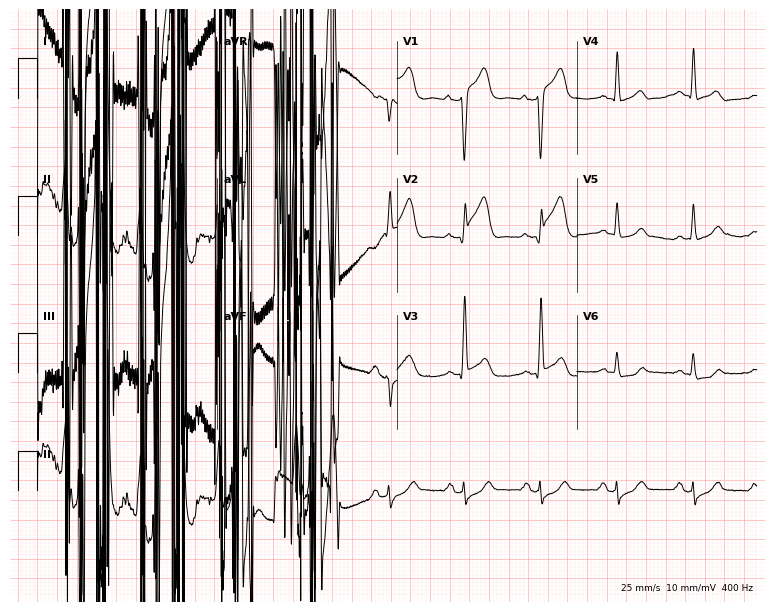
ECG — a 66-year-old male patient. Screened for six findings — first-degree AV block, right bundle branch block, left bundle branch block, sinus bradycardia, atrial fibrillation, sinus tachycardia — none is recorded.